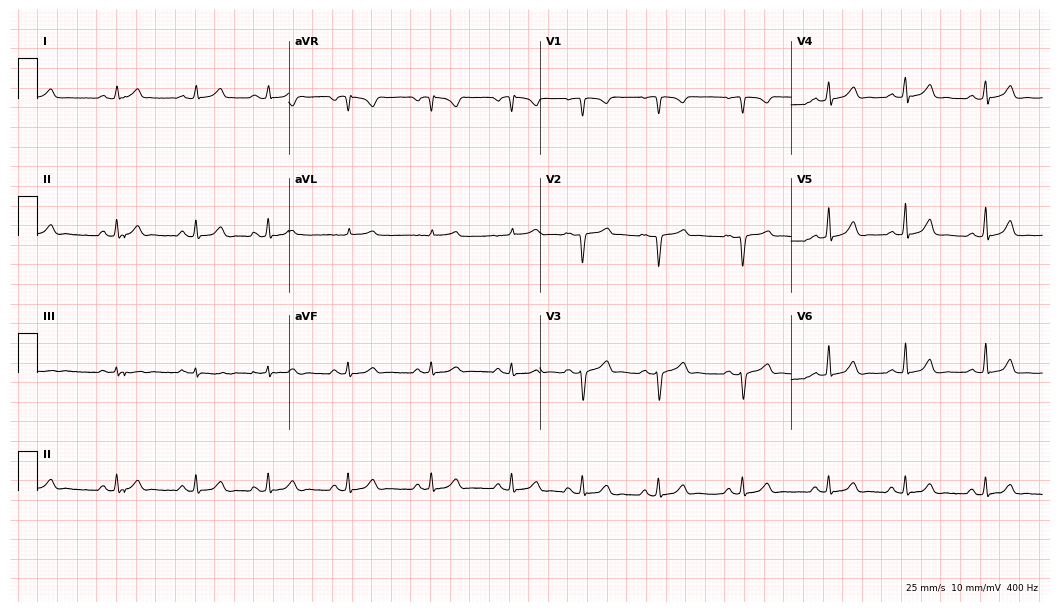
Electrocardiogram, a 20-year-old female. Overall reading on record: normal ECG.